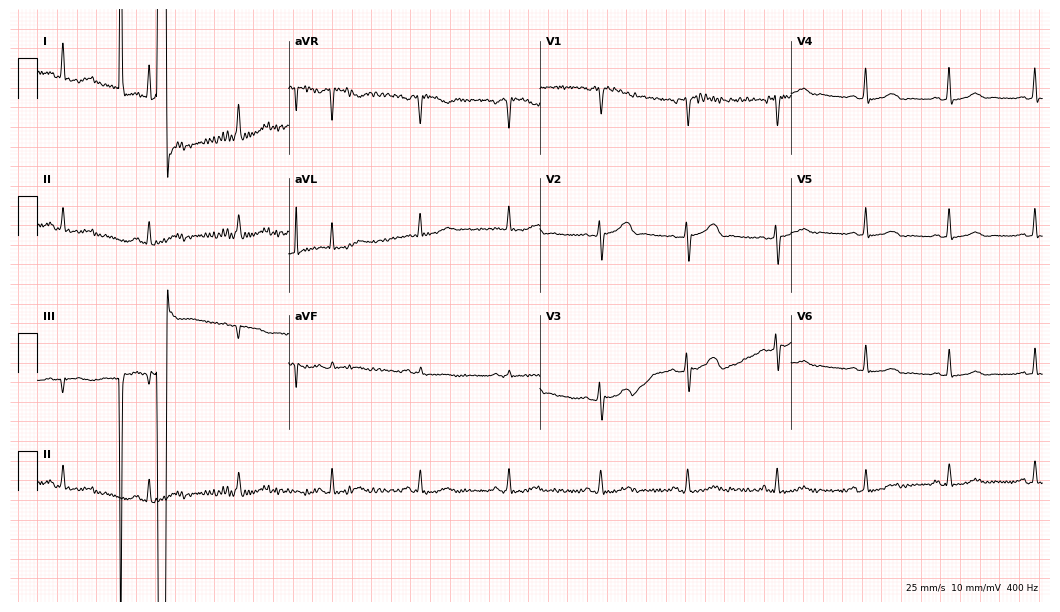
Resting 12-lead electrocardiogram (10.2-second recording at 400 Hz). Patient: a 45-year-old female. Read as a normal ECG.